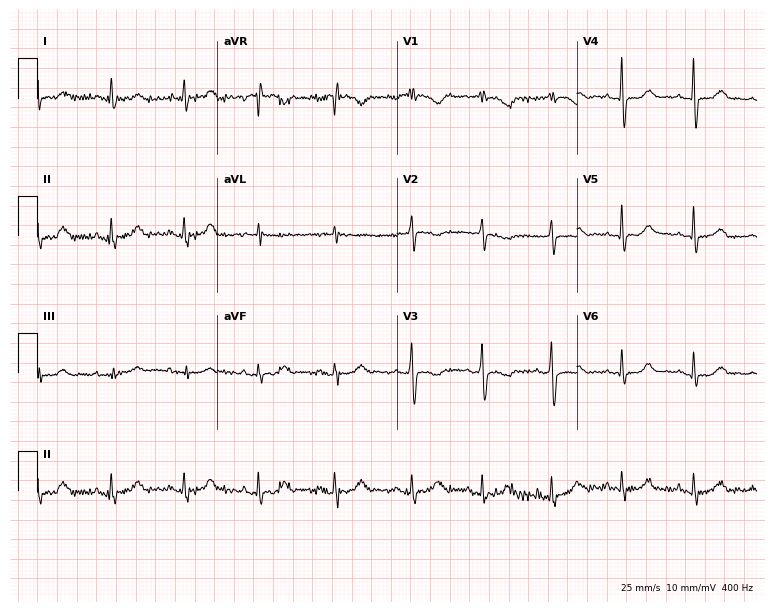
Resting 12-lead electrocardiogram (7.3-second recording at 400 Hz). Patient: a 50-year-old female. None of these six findings is recorded: first-degree AV block, right bundle branch block, left bundle branch block, sinus bradycardia, atrial fibrillation, sinus tachycardia. Other findings, if any, are not listed.